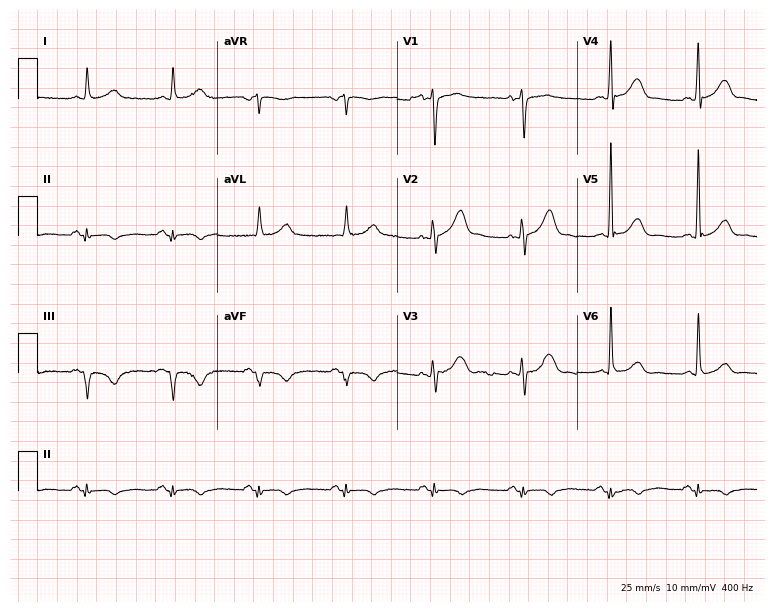
ECG — an 82-year-old man. Screened for six findings — first-degree AV block, right bundle branch block, left bundle branch block, sinus bradycardia, atrial fibrillation, sinus tachycardia — none is recorded.